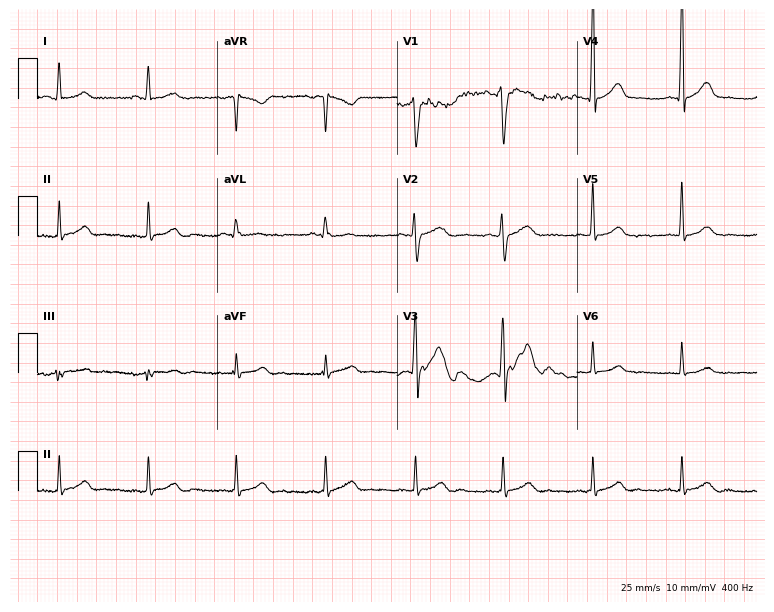
Electrocardiogram (7.3-second recording at 400 Hz), a 37-year-old male patient. Of the six screened findings (first-degree AV block, right bundle branch block, left bundle branch block, sinus bradycardia, atrial fibrillation, sinus tachycardia), none is recorded. Other findings, if any, are not listed.